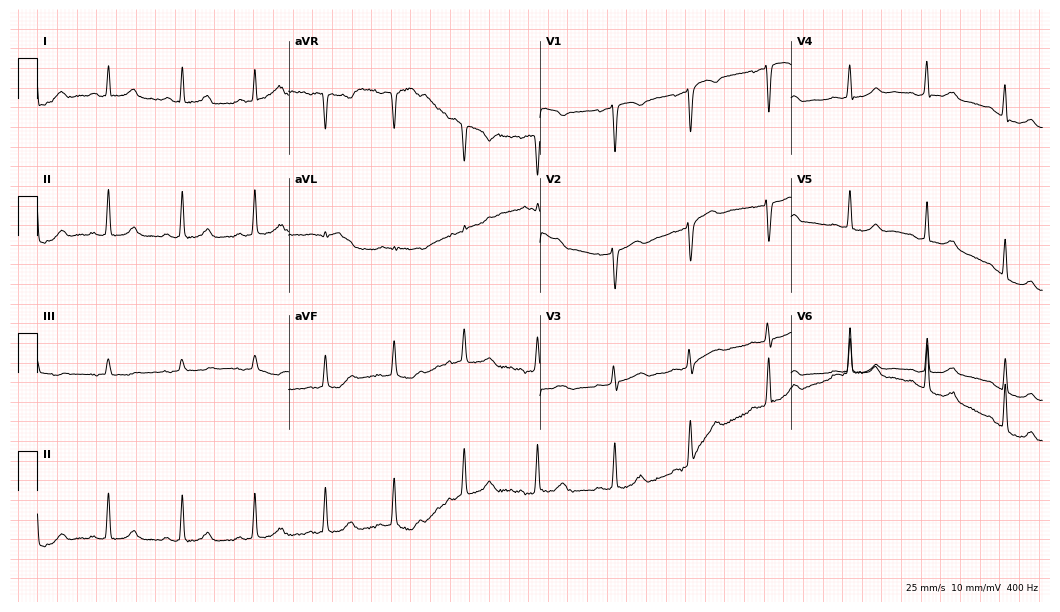
Resting 12-lead electrocardiogram. Patient: a woman, 36 years old. Read as a normal ECG.